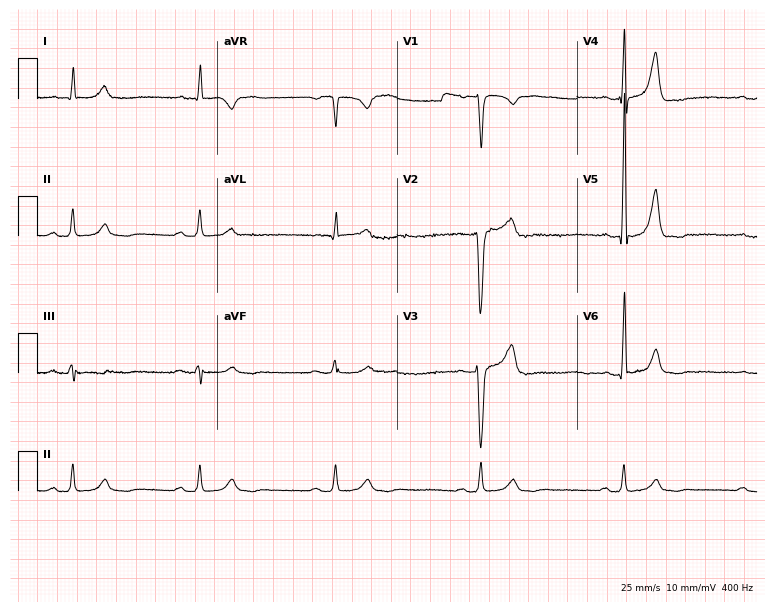
Standard 12-lead ECG recorded from a 69-year-old man (7.3-second recording at 400 Hz). The tracing shows sinus bradycardia (a sinus rate of 50 beats per minute or less).